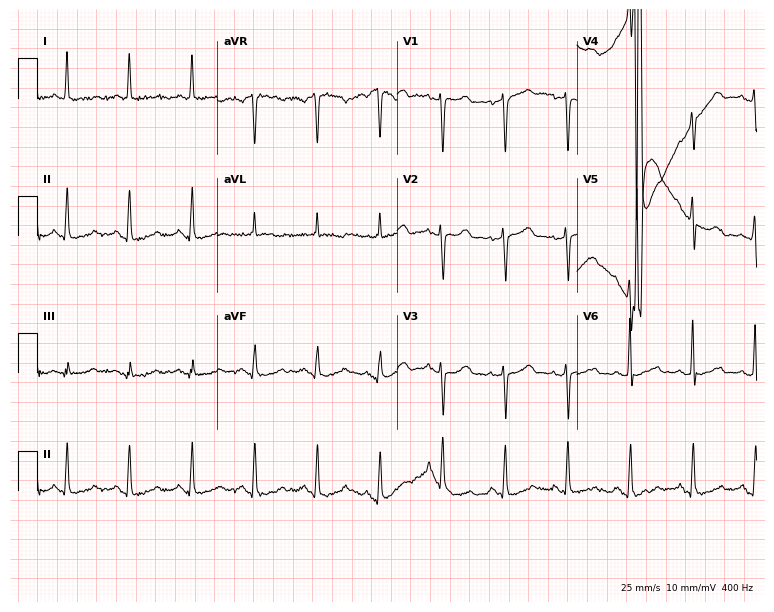
Resting 12-lead electrocardiogram. Patient: a 72-year-old female. Read as a normal ECG.